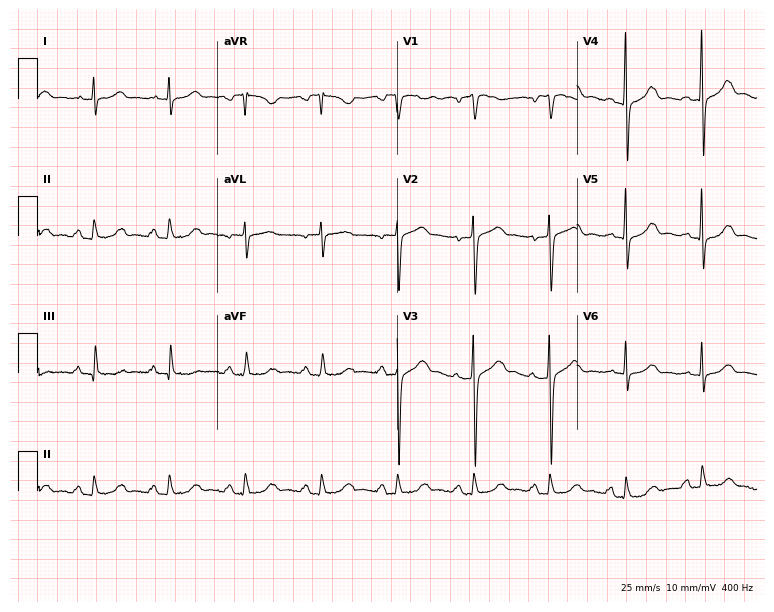
12-lead ECG (7.3-second recording at 400 Hz) from a male patient, 65 years old. Labelled as a normal ECG.